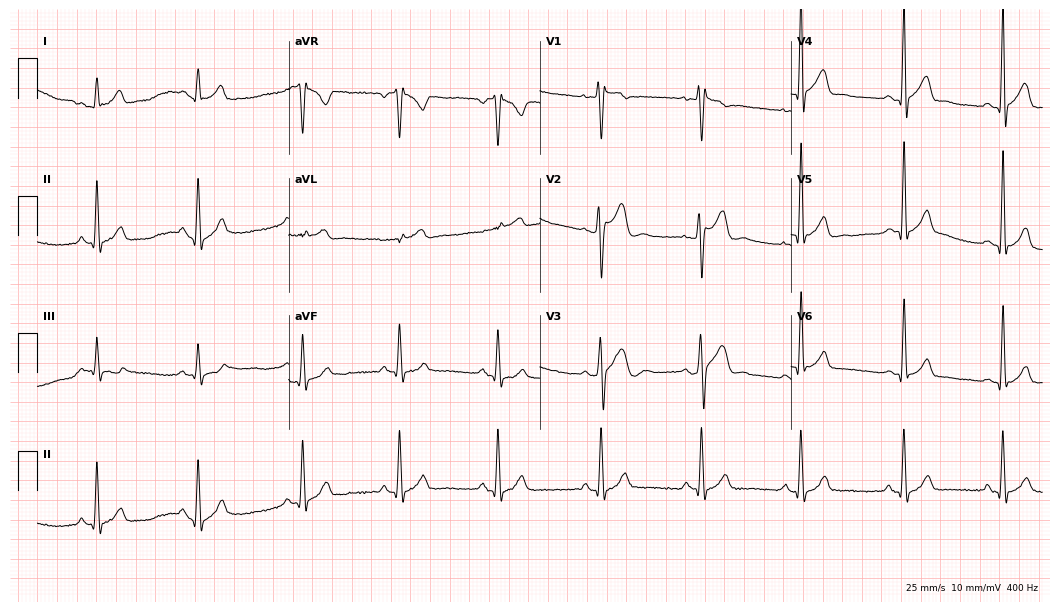
ECG (10.2-second recording at 400 Hz) — a male, 25 years old. Screened for six findings — first-degree AV block, right bundle branch block, left bundle branch block, sinus bradycardia, atrial fibrillation, sinus tachycardia — none is recorded.